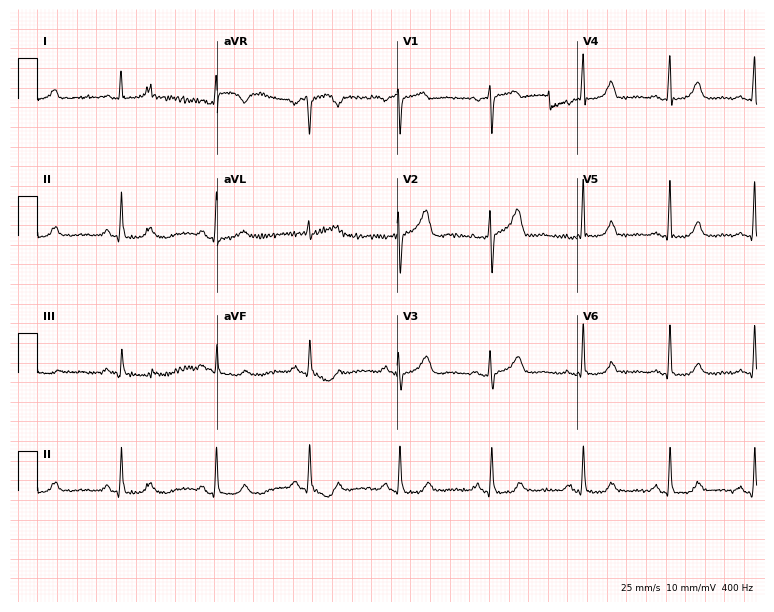
12-lead ECG (7.3-second recording at 400 Hz) from a 56-year-old woman. Labelled as a normal ECG.